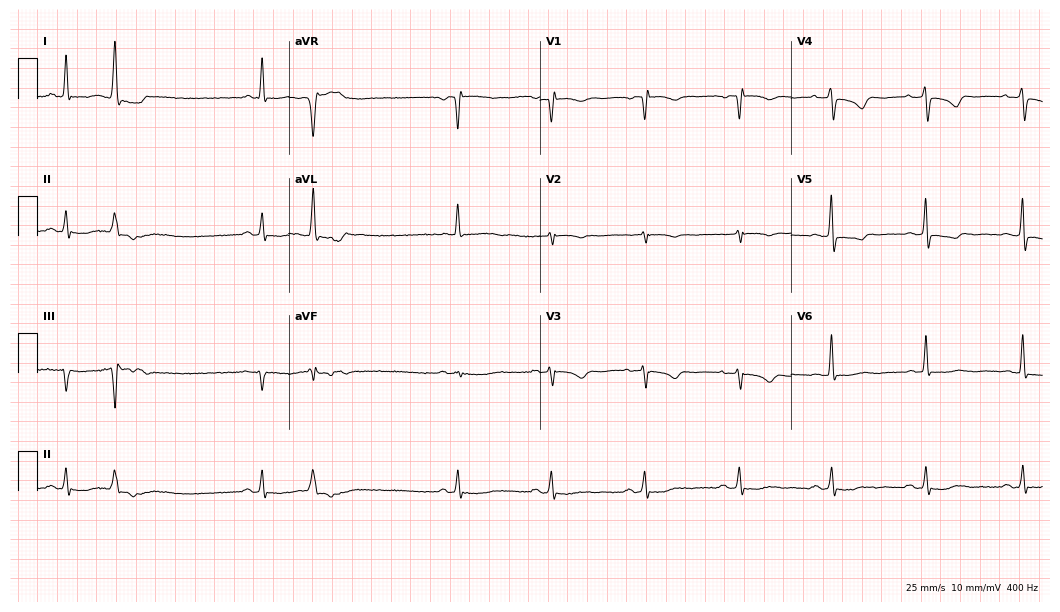
Electrocardiogram, a 73-year-old female. Of the six screened findings (first-degree AV block, right bundle branch block (RBBB), left bundle branch block (LBBB), sinus bradycardia, atrial fibrillation (AF), sinus tachycardia), none is recorded. Only these six findings were labelled.